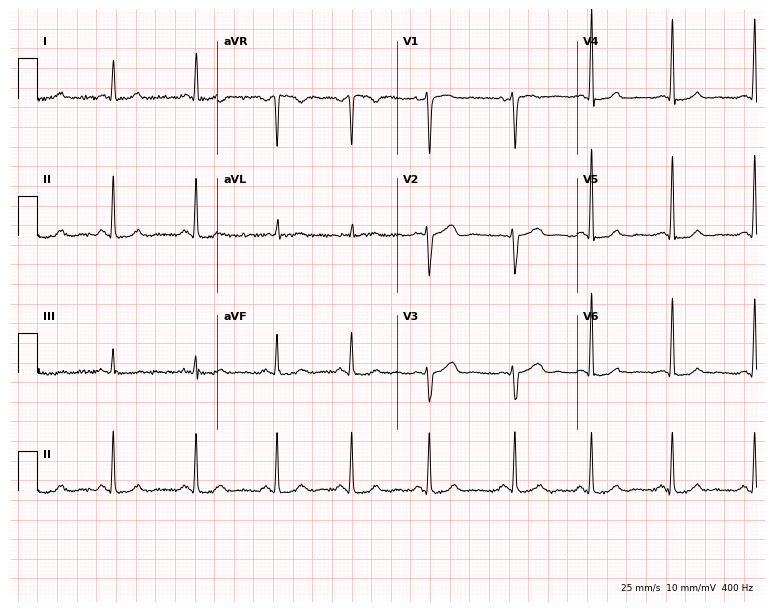
ECG — a female, 38 years old. Screened for six findings — first-degree AV block, right bundle branch block, left bundle branch block, sinus bradycardia, atrial fibrillation, sinus tachycardia — none is recorded. Findings outside these six are not listed.